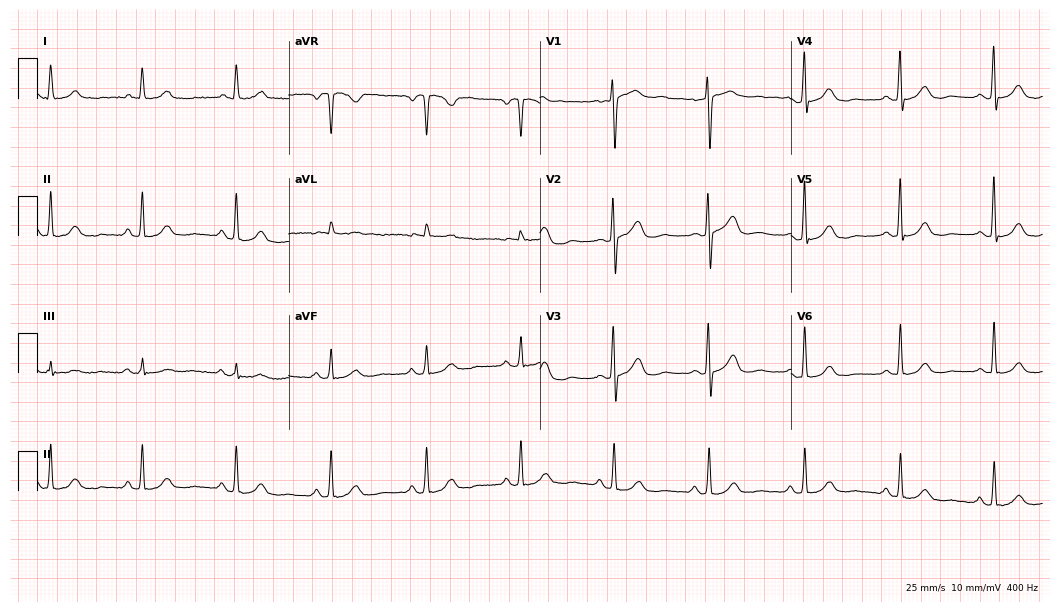
Standard 12-lead ECG recorded from a female patient, 71 years old (10.2-second recording at 400 Hz). Read as a normal ECG.